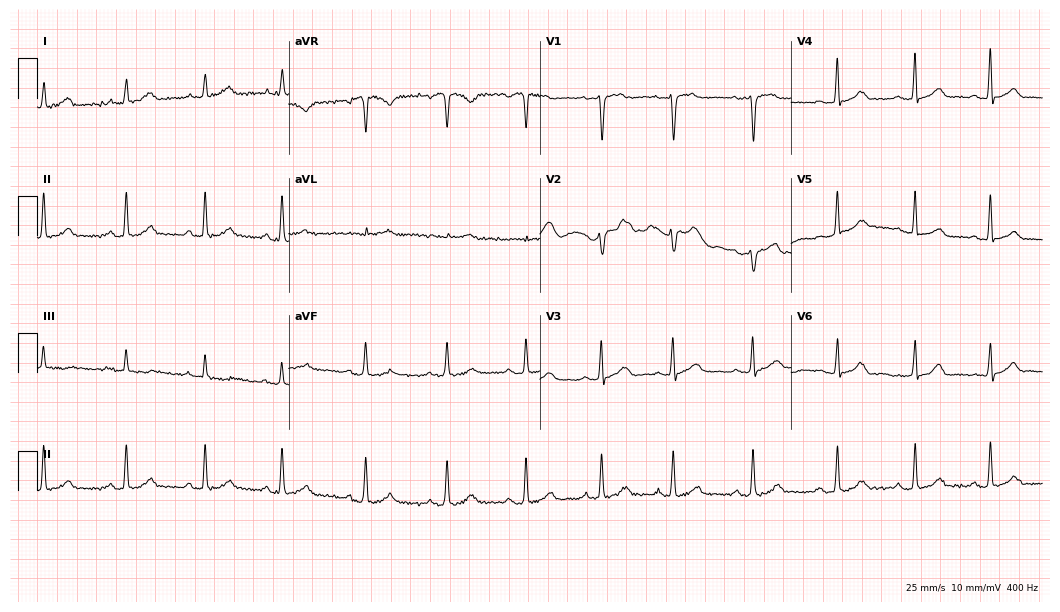
Standard 12-lead ECG recorded from a female, 18 years old. Read as a normal ECG.